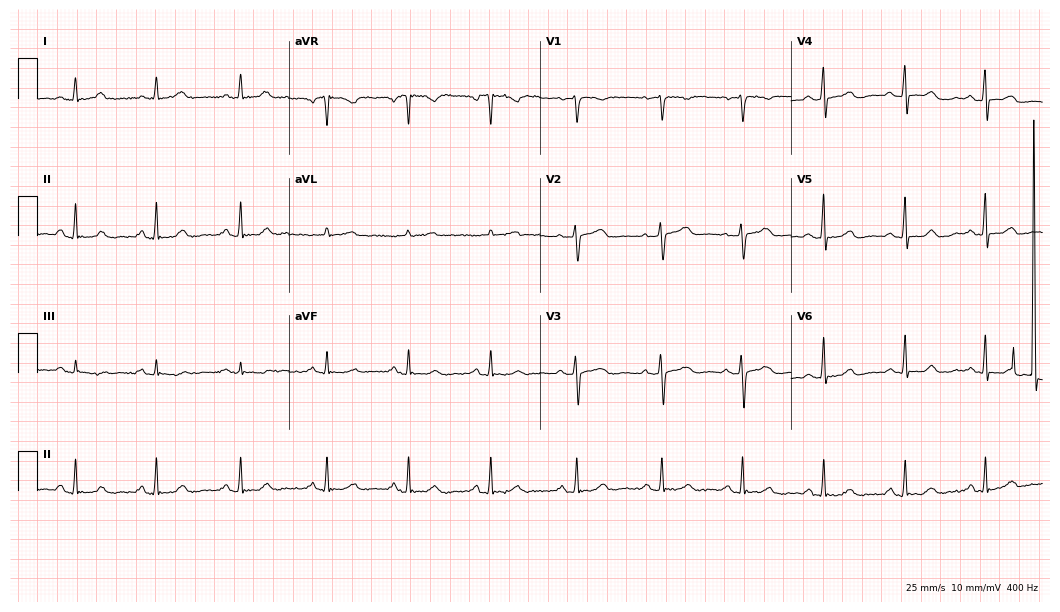
12-lead ECG from a 56-year-old female patient (10.2-second recording at 400 Hz). Recorded interpretation: within normal limits.